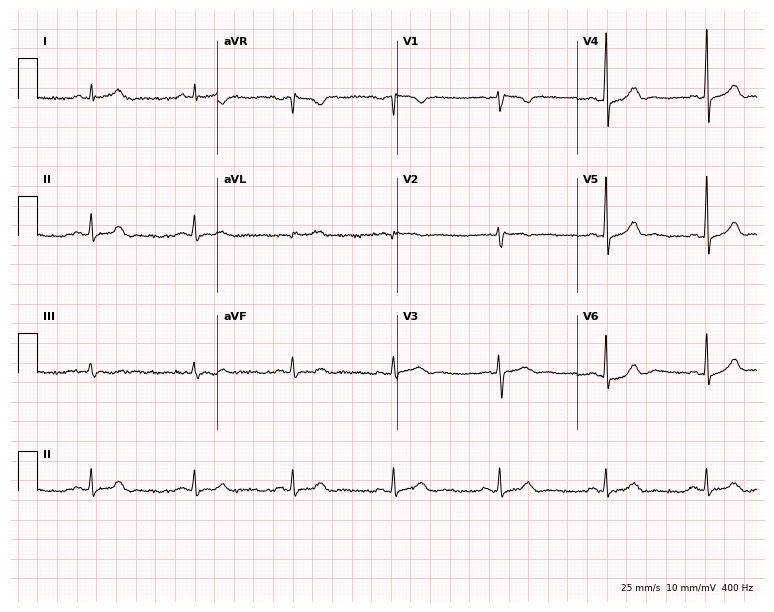
Resting 12-lead electrocardiogram. Patient: a woman, 42 years old. None of these six findings is recorded: first-degree AV block, right bundle branch block, left bundle branch block, sinus bradycardia, atrial fibrillation, sinus tachycardia. Only these six findings were labelled.